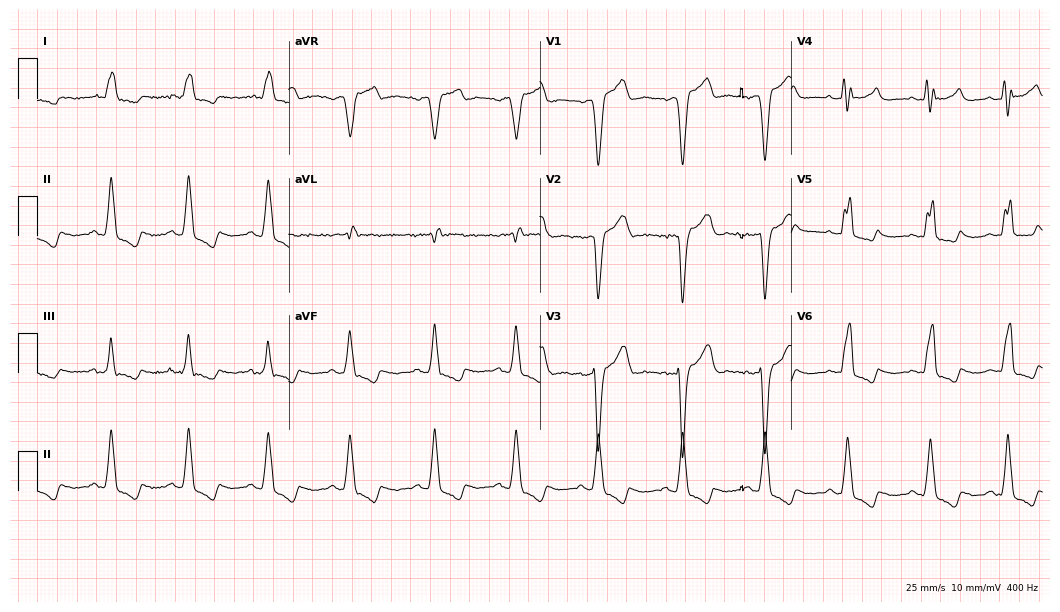
Resting 12-lead electrocardiogram. Patient: a male, 80 years old. The tracing shows left bundle branch block.